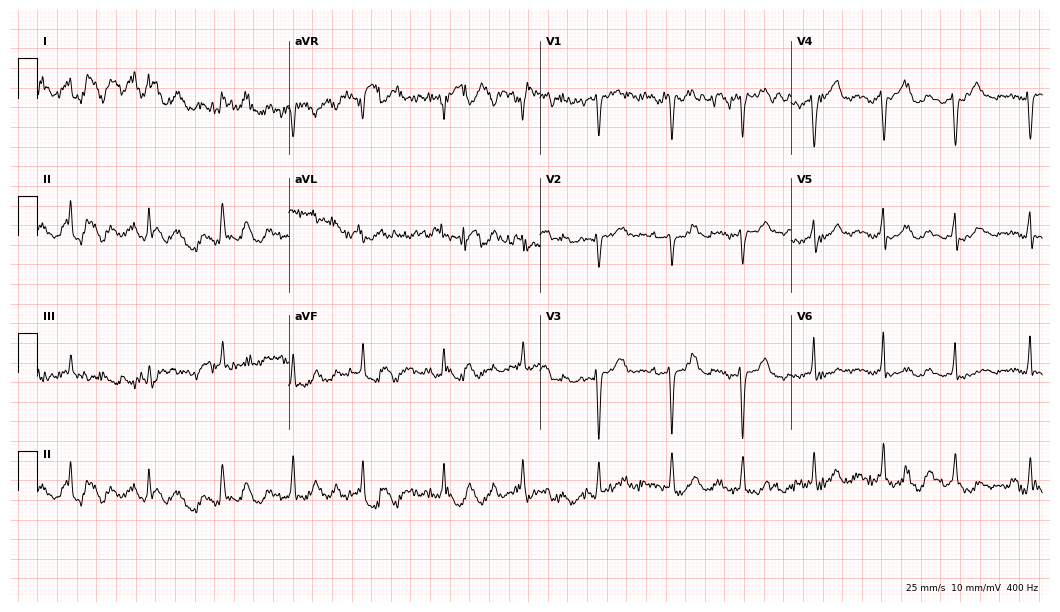
ECG — a female patient, 74 years old. Screened for six findings — first-degree AV block, right bundle branch block, left bundle branch block, sinus bradycardia, atrial fibrillation, sinus tachycardia — none is recorded. Other findings, if any, are not listed.